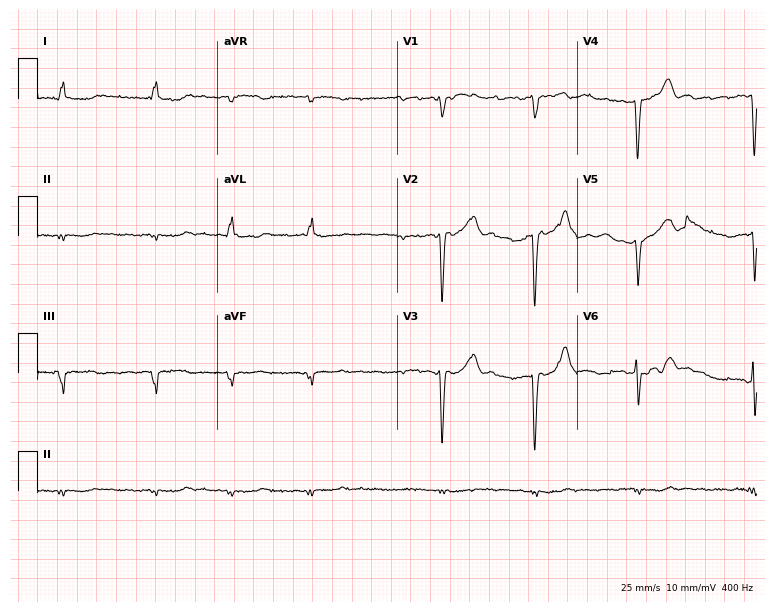
12-lead ECG from a male, 73 years old. No first-degree AV block, right bundle branch block (RBBB), left bundle branch block (LBBB), sinus bradycardia, atrial fibrillation (AF) or sinus tachycardia recorded for this tracing.